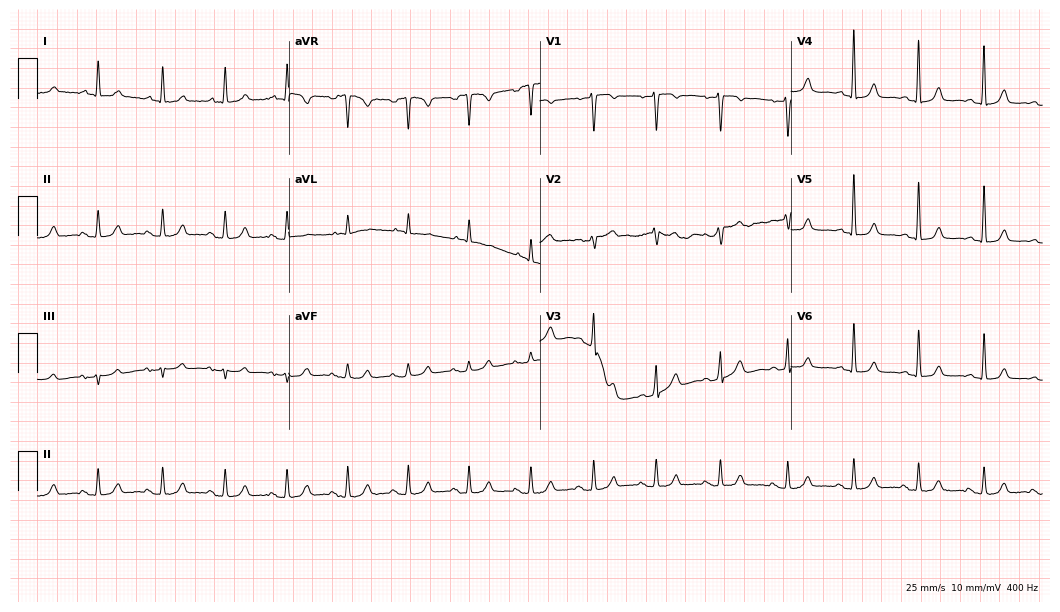
12-lead ECG from a female patient, 73 years old. Screened for six findings — first-degree AV block, right bundle branch block (RBBB), left bundle branch block (LBBB), sinus bradycardia, atrial fibrillation (AF), sinus tachycardia — none is recorded.